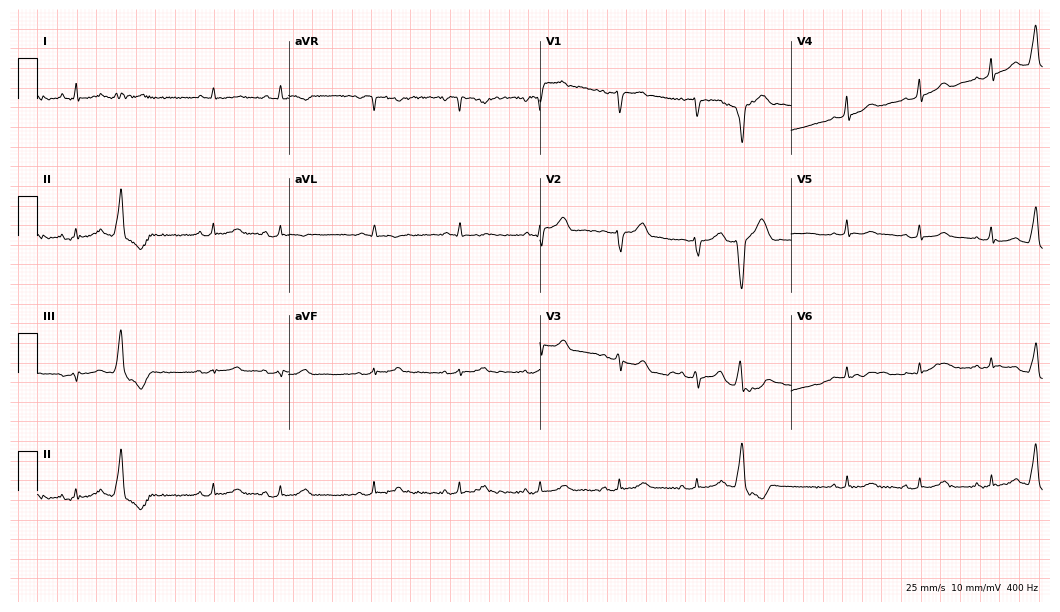
Electrocardiogram (10.2-second recording at 400 Hz), a 37-year-old woman. Of the six screened findings (first-degree AV block, right bundle branch block, left bundle branch block, sinus bradycardia, atrial fibrillation, sinus tachycardia), none is recorded.